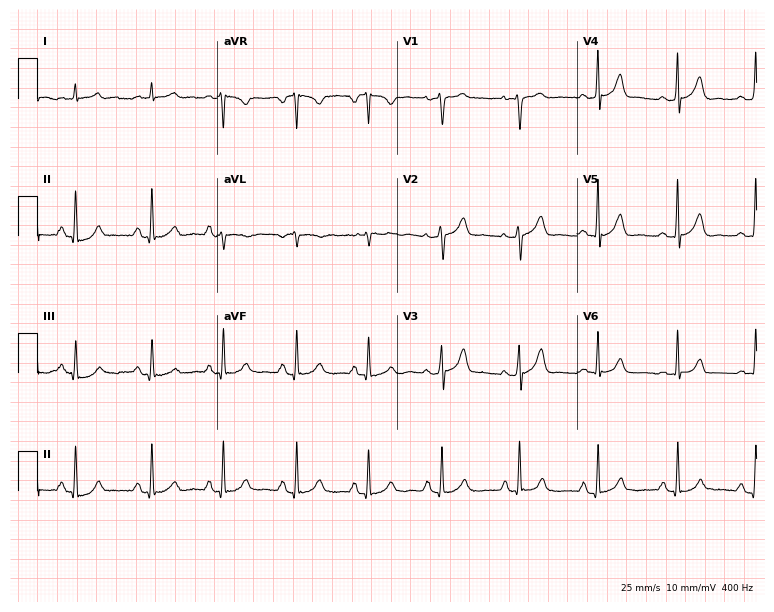
ECG (7.3-second recording at 400 Hz) — a male patient, 60 years old. Screened for six findings — first-degree AV block, right bundle branch block (RBBB), left bundle branch block (LBBB), sinus bradycardia, atrial fibrillation (AF), sinus tachycardia — none is recorded. Other findings, if any, are not listed.